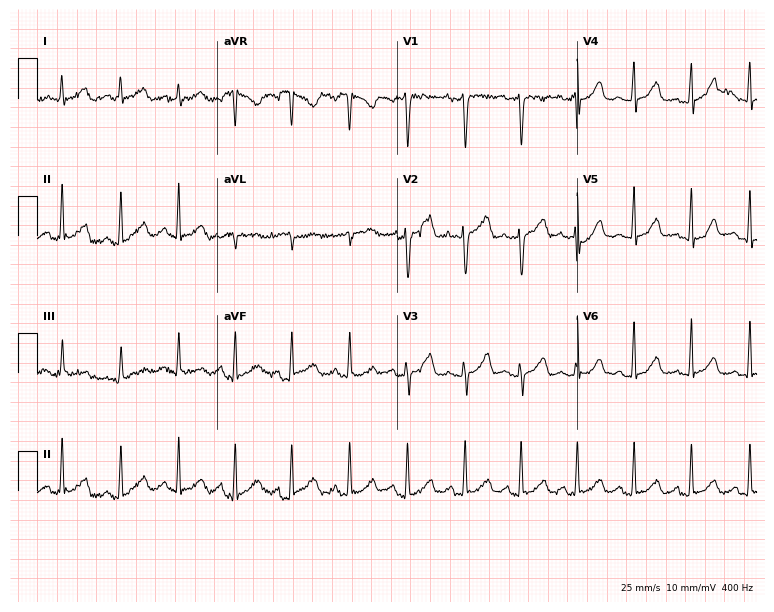
Resting 12-lead electrocardiogram. Patient: a female, 30 years old. The tracing shows sinus tachycardia (a sinus rate of 100 beats per minute or more).